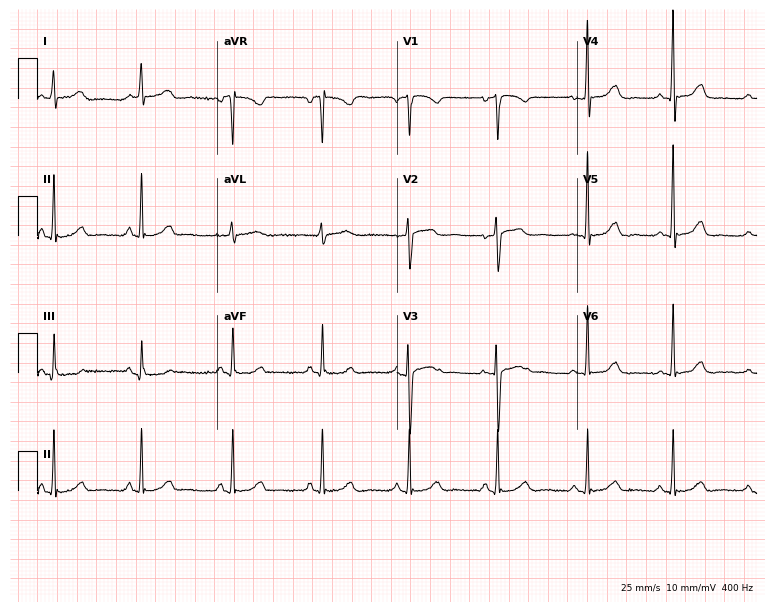
12-lead ECG from a female patient, 53 years old (7.3-second recording at 400 Hz). Recorded interpretation: within normal limits.